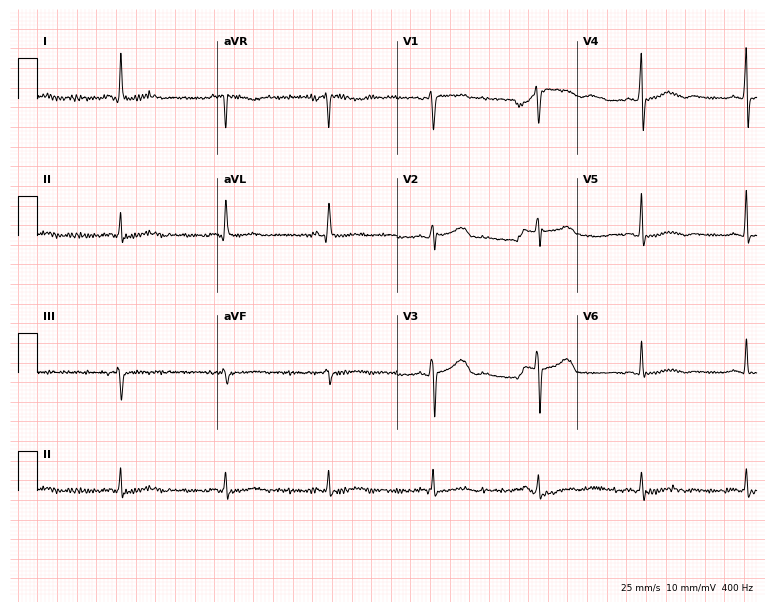
Resting 12-lead electrocardiogram. Patient: a female, 66 years old. None of these six findings is recorded: first-degree AV block, right bundle branch block, left bundle branch block, sinus bradycardia, atrial fibrillation, sinus tachycardia.